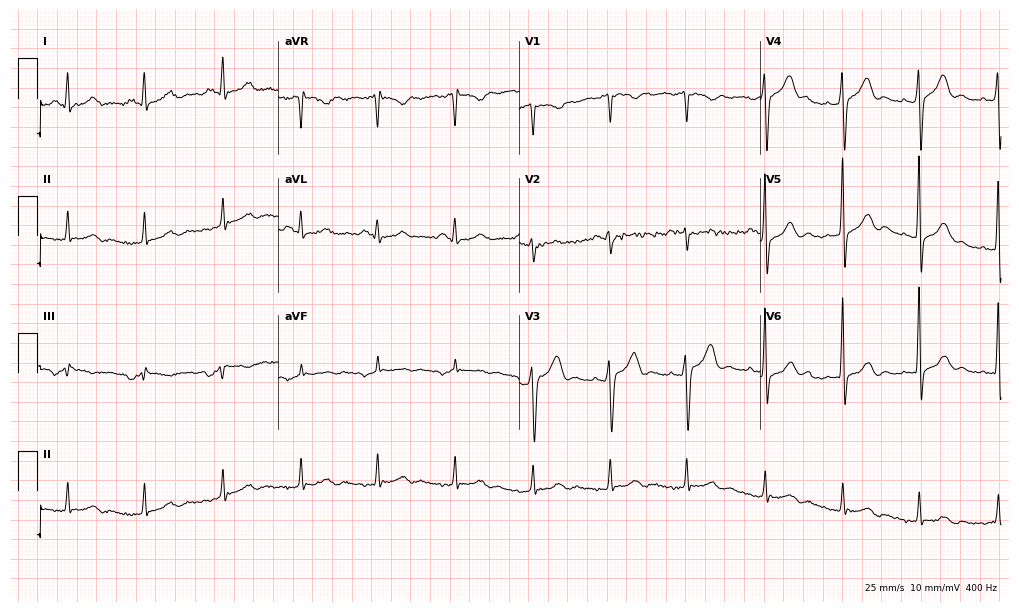
ECG (9.8-second recording at 400 Hz) — a man, 55 years old. Screened for six findings — first-degree AV block, right bundle branch block (RBBB), left bundle branch block (LBBB), sinus bradycardia, atrial fibrillation (AF), sinus tachycardia — none is recorded.